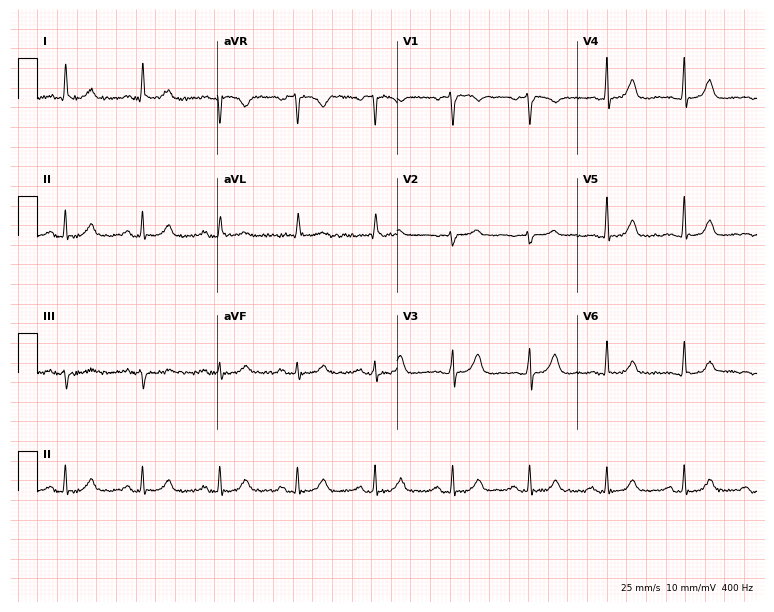
ECG — a female patient, 67 years old. Screened for six findings — first-degree AV block, right bundle branch block (RBBB), left bundle branch block (LBBB), sinus bradycardia, atrial fibrillation (AF), sinus tachycardia — none is recorded. Other findings, if any, are not listed.